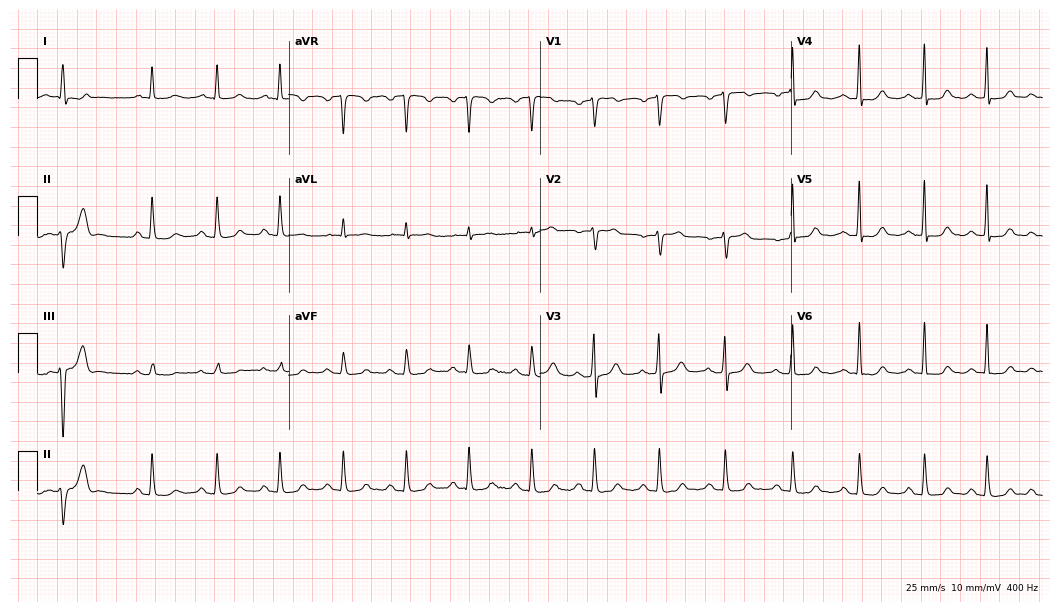
Resting 12-lead electrocardiogram (10.2-second recording at 400 Hz). Patient: a 75-year-old female. None of these six findings is recorded: first-degree AV block, right bundle branch block, left bundle branch block, sinus bradycardia, atrial fibrillation, sinus tachycardia. Other findings, if any, are not listed.